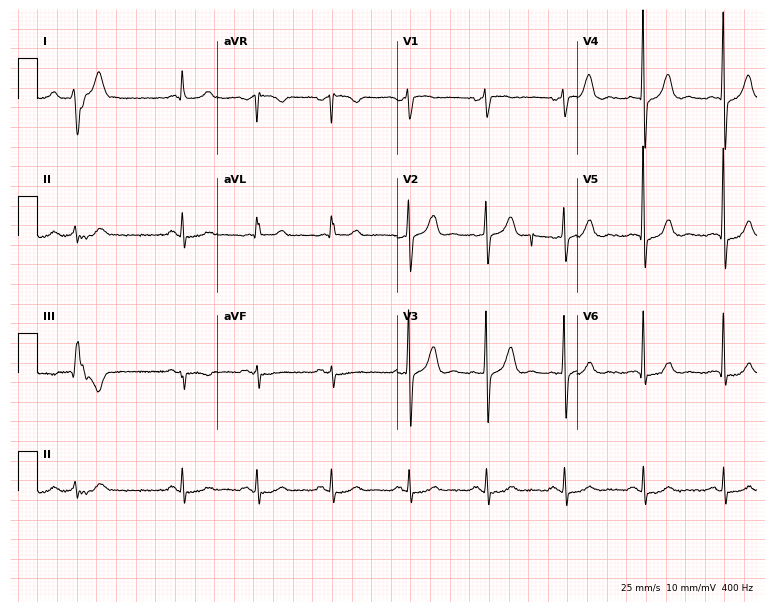
Standard 12-lead ECG recorded from a male, 77 years old. None of these six findings is recorded: first-degree AV block, right bundle branch block, left bundle branch block, sinus bradycardia, atrial fibrillation, sinus tachycardia. Other findings, if any, are not listed.